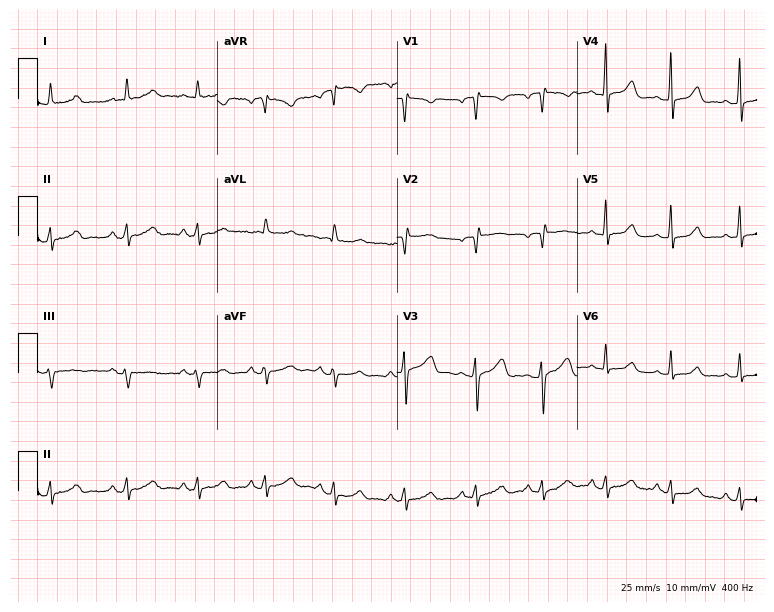
Electrocardiogram, a female patient, 50 years old. Of the six screened findings (first-degree AV block, right bundle branch block (RBBB), left bundle branch block (LBBB), sinus bradycardia, atrial fibrillation (AF), sinus tachycardia), none is recorded. Other findings, if any, are not listed.